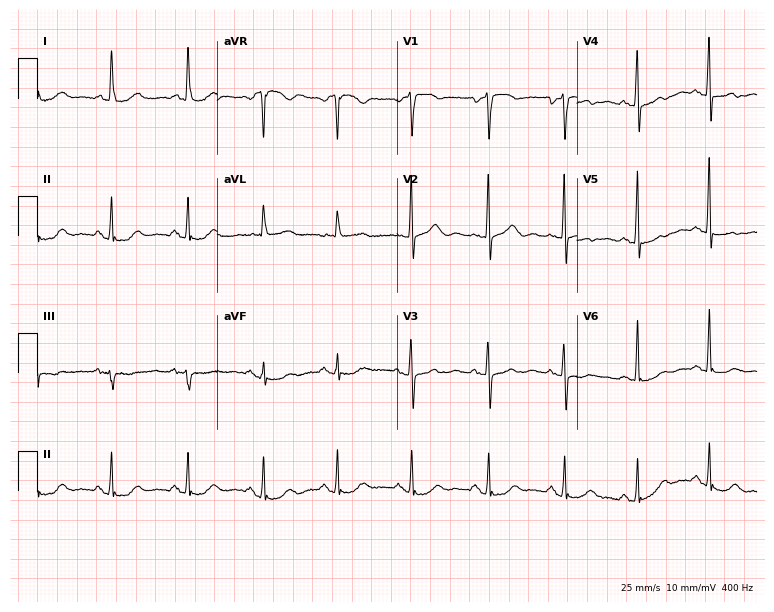
Resting 12-lead electrocardiogram (7.3-second recording at 400 Hz). Patient: a 75-year-old woman. None of these six findings is recorded: first-degree AV block, right bundle branch block, left bundle branch block, sinus bradycardia, atrial fibrillation, sinus tachycardia.